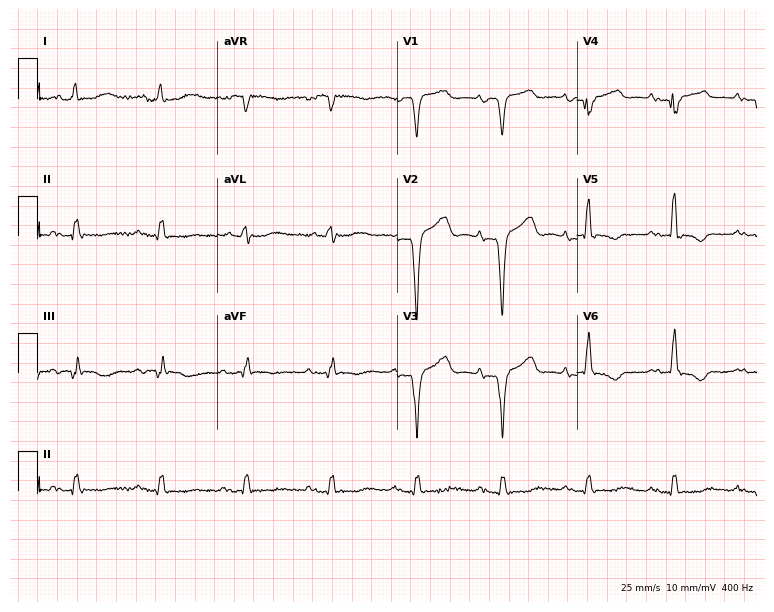
ECG — a 69-year-old male patient. Findings include left bundle branch block (LBBB).